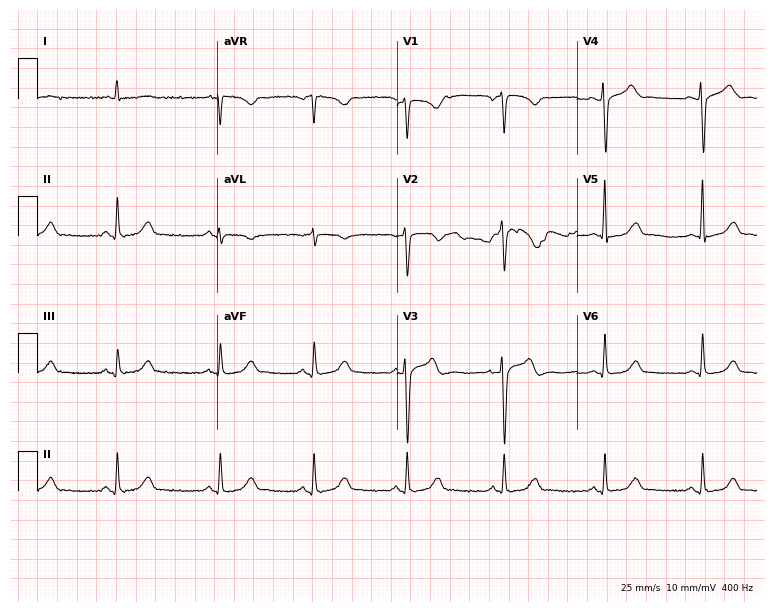
12-lead ECG from a 37-year-old female. No first-degree AV block, right bundle branch block (RBBB), left bundle branch block (LBBB), sinus bradycardia, atrial fibrillation (AF) or sinus tachycardia recorded for this tracing.